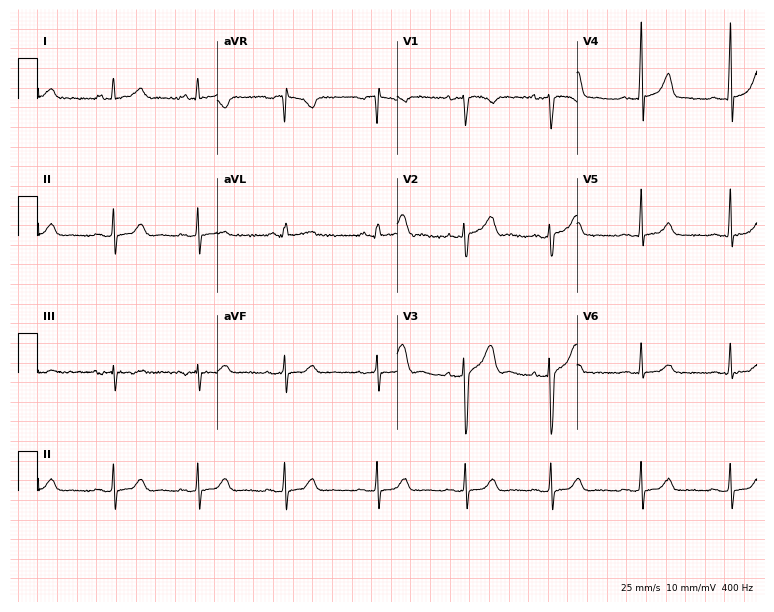
Resting 12-lead electrocardiogram (7.3-second recording at 400 Hz). Patient: a 33-year-old female. None of these six findings is recorded: first-degree AV block, right bundle branch block, left bundle branch block, sinus bradycardia, atrial fibrillation, sinus tachycardia.